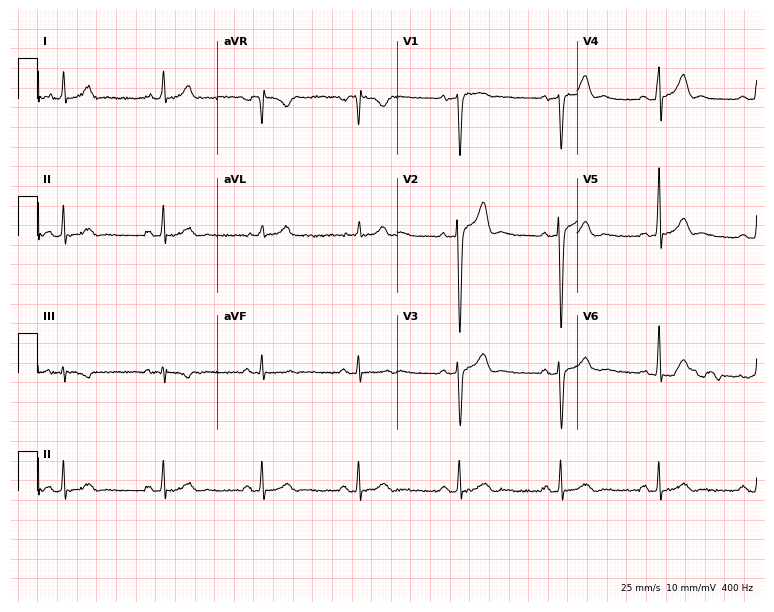
ECG — a 42-year-old male. Labelled as a normal ECG.